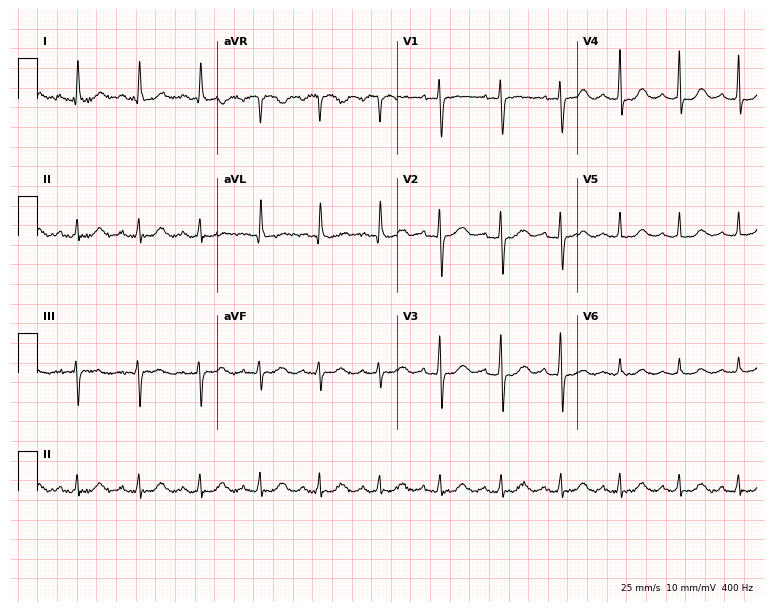
Standard 12-lead ECG recorded from a female patient, 71 years old. None of these six findings is recorded: first-degree AV block, right bundle branch block, left bundle branch block, sinus bradycardia, atrial fibrillation, sinus tachycardia. Findings outside these six are not listed.